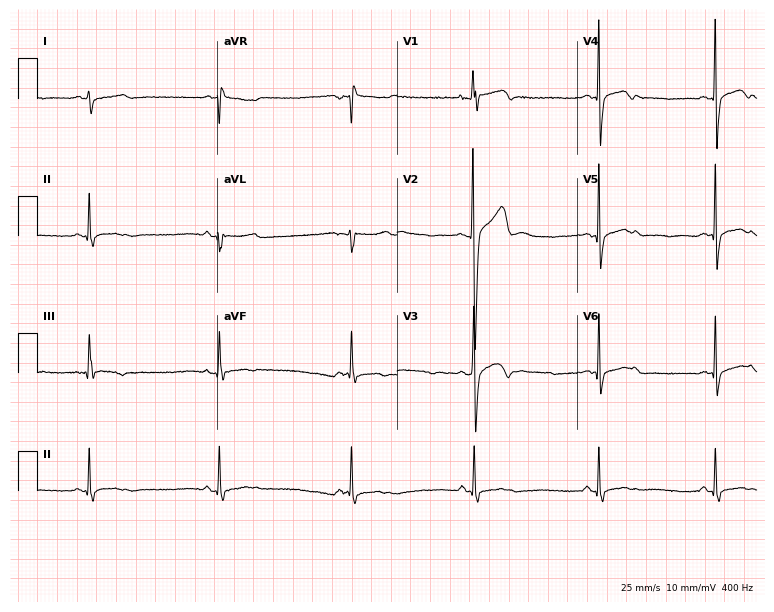
12-lead ECG (7.3-second recording at 400 Hz) from an 18-year-old male. Findings include sinus bradycardia (a sinus rate of 50 beats per minute or less).